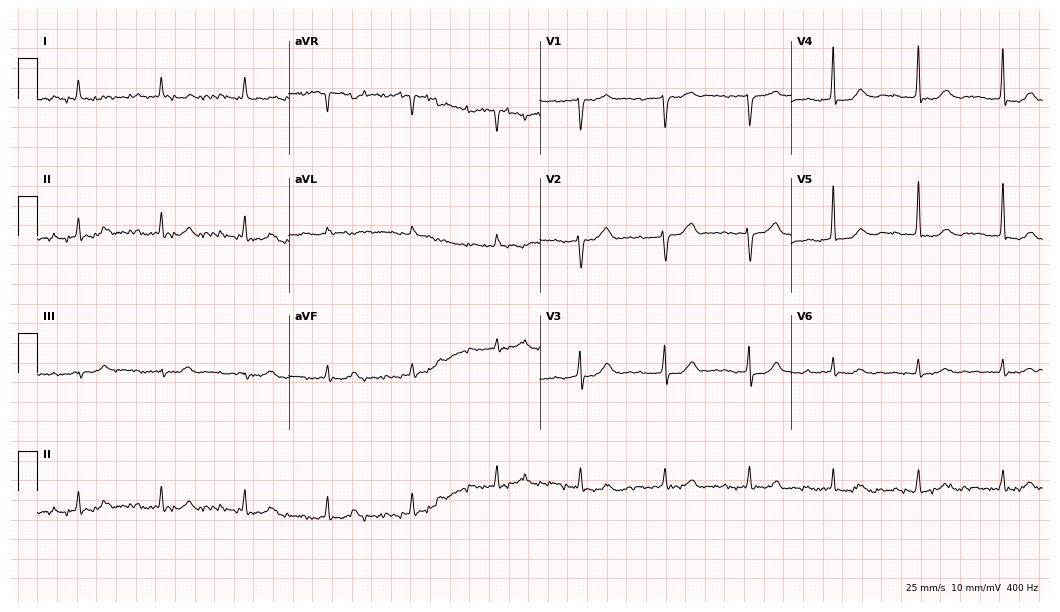
Standard 12-lead ECG recorded from a female, 79 years old. None of these six findings is recorded: first-degree AV block, right bundle branch block (RBBB), left bundle branch block (LBBB), sinus bradycardia, atrial fibrillation (AF), sinus tachycardia.